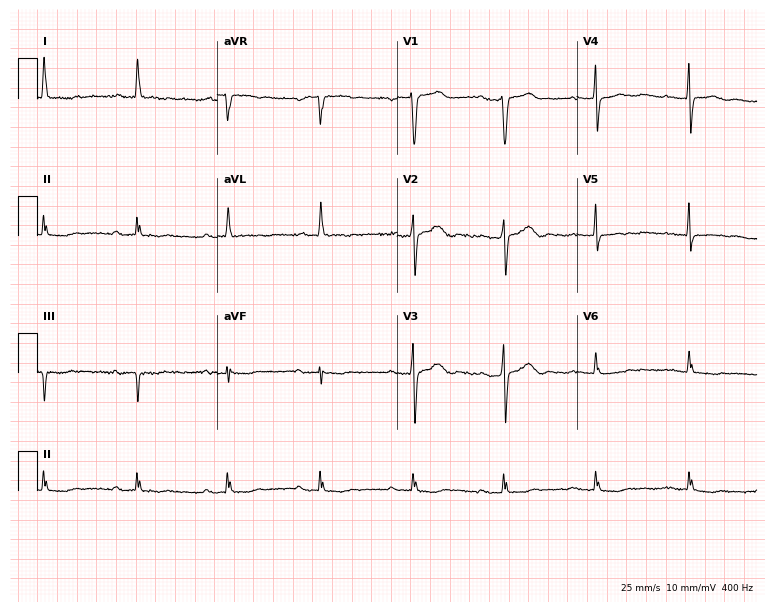
Resting 12-lead electrocardiogram. Patient: a 66-year-old female. None of these six findings is recorded: first-degree AV block, right bundle branch block, left bundle branch block, sinus bradycardia, atrial fibrillation, sinus tachycardia.